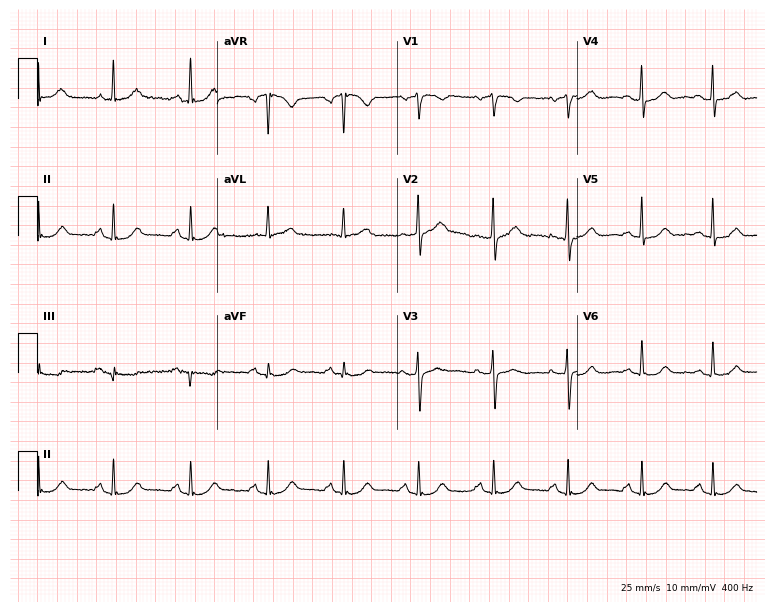
Standard 12-lead ECG recorded from a woman, 65 years old. None of these six findings is recorded: first-degree AV block, right bundle branch block, left bundle branch block, sinus bradycardia, atrial fibrillation, sinus tachycardia. Findings outside these six are not listed.